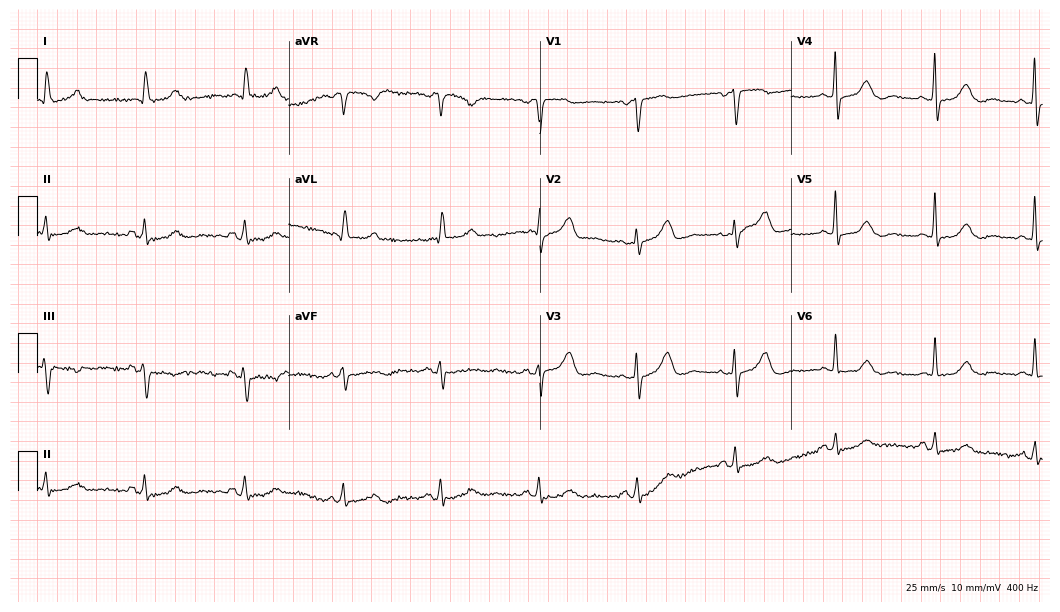
ECG — a female patient, 75 years old. Labelled as a normal ECG.